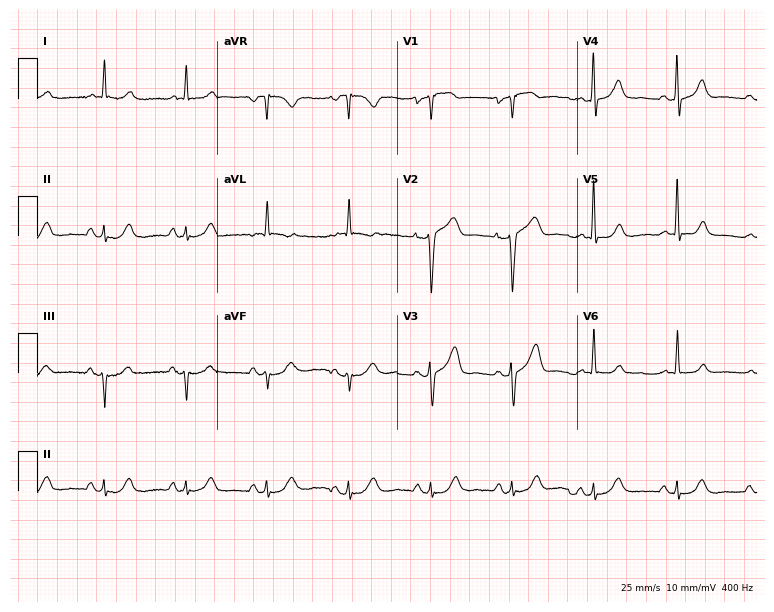
ECG — a female patient, 62 years old. Screened for six findings — first-degree AV block, right bundle branch block, left bundle branch block, sinus bradycardia, atrial fibrillation, sinus tachycardia — none is recorded.